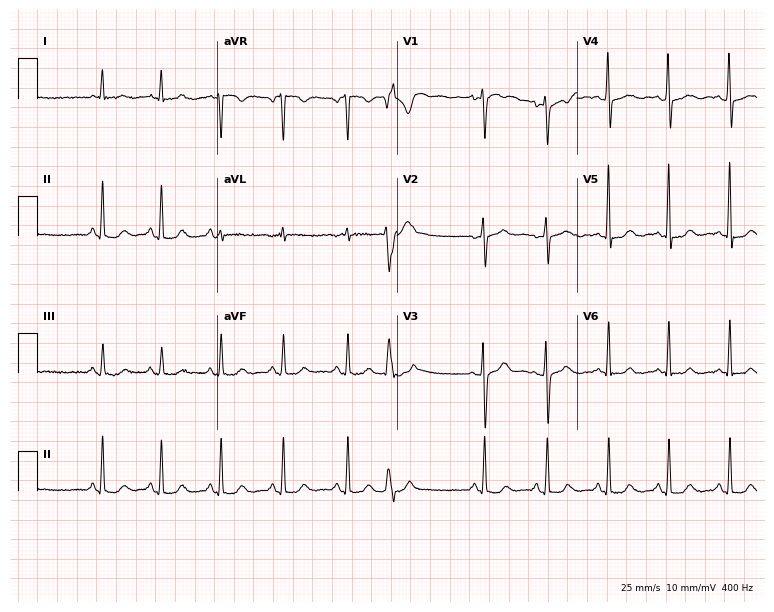
Electrocardiogram (7.3-second recording at 400 Hz), a female patient, 28 years old. Overall reading on record: normal ECG.